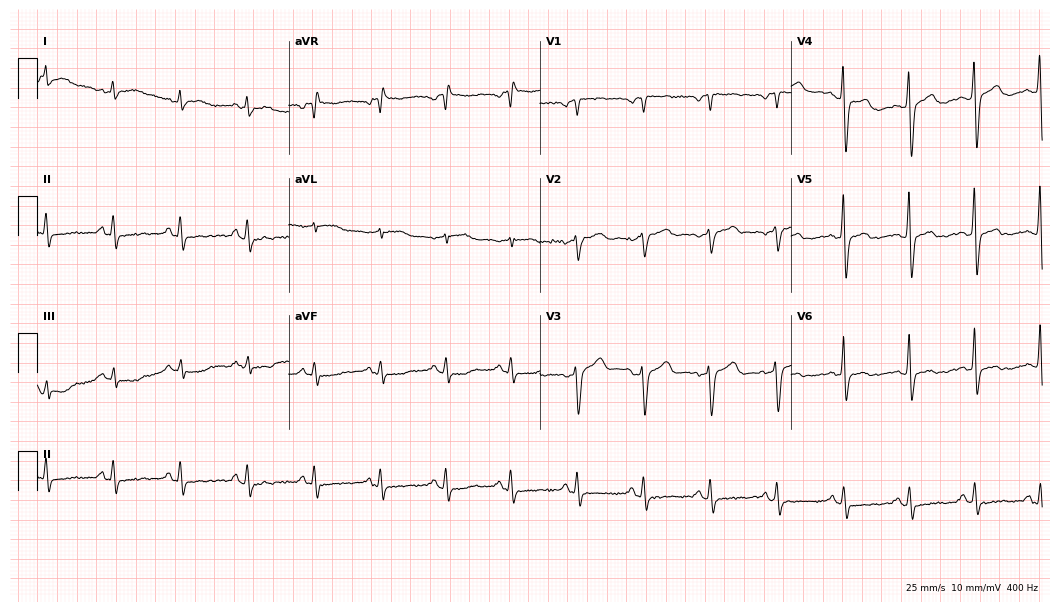
12-lead ECG from a male, 63 years old. Screened for six findings — first-degree AV block, right bundle branch block (RBBB), left bundle branch block (LBBB), sinus bradycardia, atrial fibrillation (AF), sinus tachycardia — none is recorded. Only these six findings were labelled.